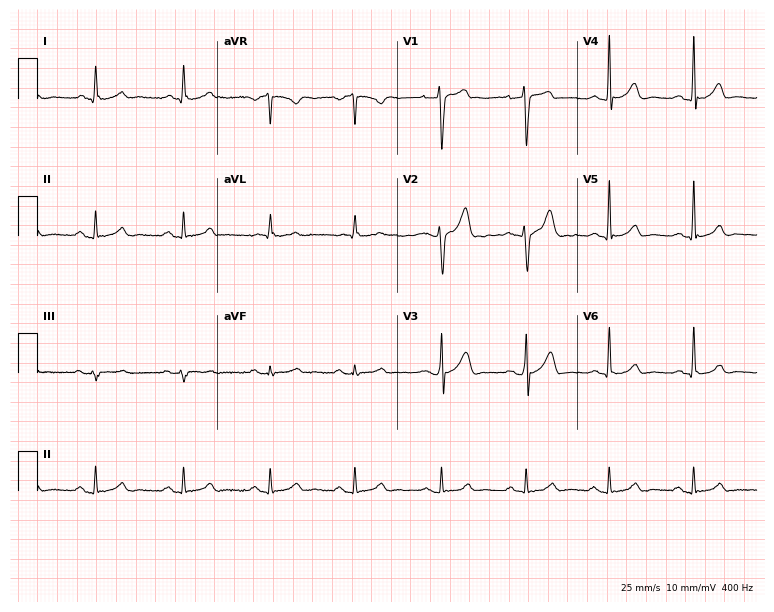
ECG — a male, 43 years old. Labelled as a normal ECG.